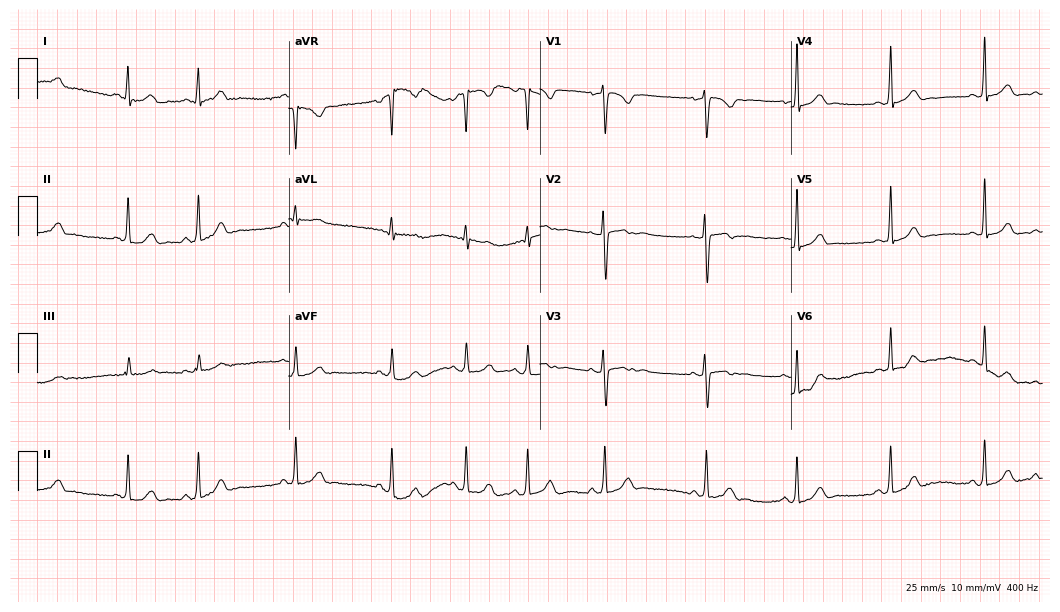
Resting 12-lead electrocardiogram. Patient: a woman, 19 years old. Read as a normal ECG.